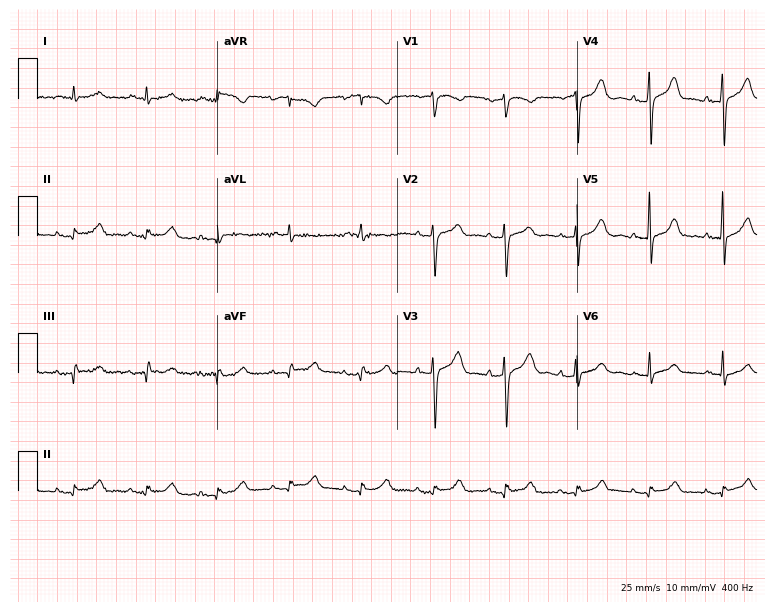
Standard 12-lead ECG recorded from a man, 77 years old (7.3-second recording at 400 Hz). None of these six findings is recorded: first-degree AV block, right bundle branch block, left bundle branch block, sinus bradycardia, atrial fibrillation, sinus tachycardia.